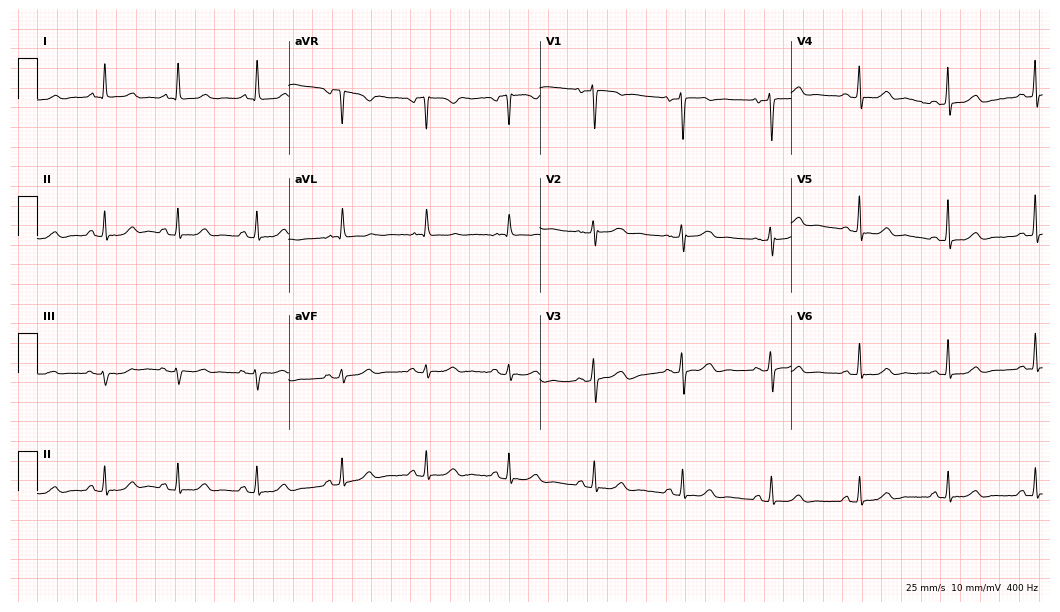
Standard 12-lead ECG recorded from a female, 52 years old. None of these six findings is recorded: first-degree AV block, right bundle branch block, left bundle branch block, sinus bradycardia, atrial fibrillation, sinus tachycardia.